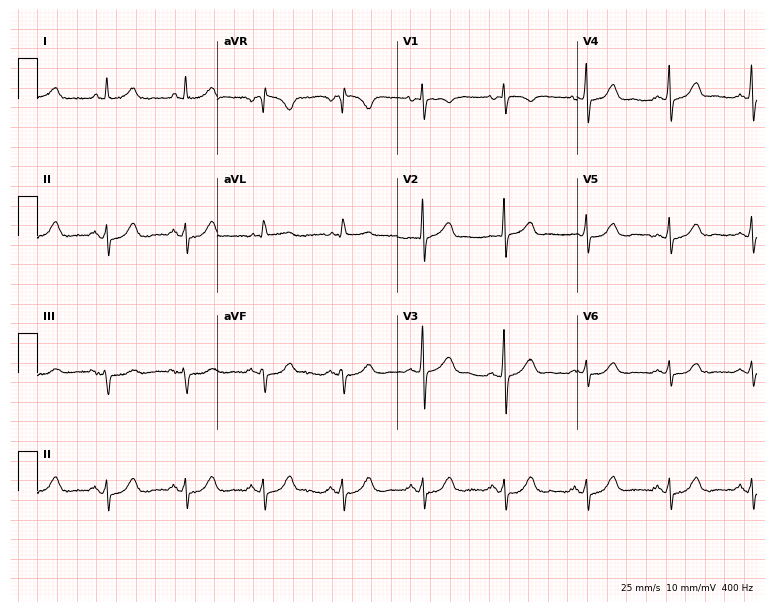
Electrocardiogram, a 66-year-old woman. Of the six screened findings (first-degree AV block, right bundle branch block, left bundle branch block, sinus bradycardia, atrial fibrillation, sinus tachycardia), none is recorded. Only these six findings were labelled.